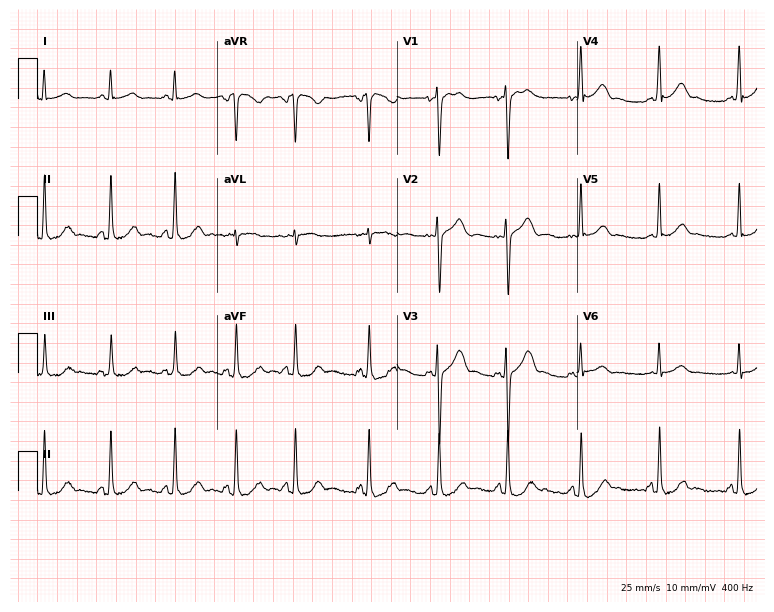
12-lead ECG from an 18-year-old female patient (7.3-second recording at 400 Hz). Recorded interpretation: within normal limits.